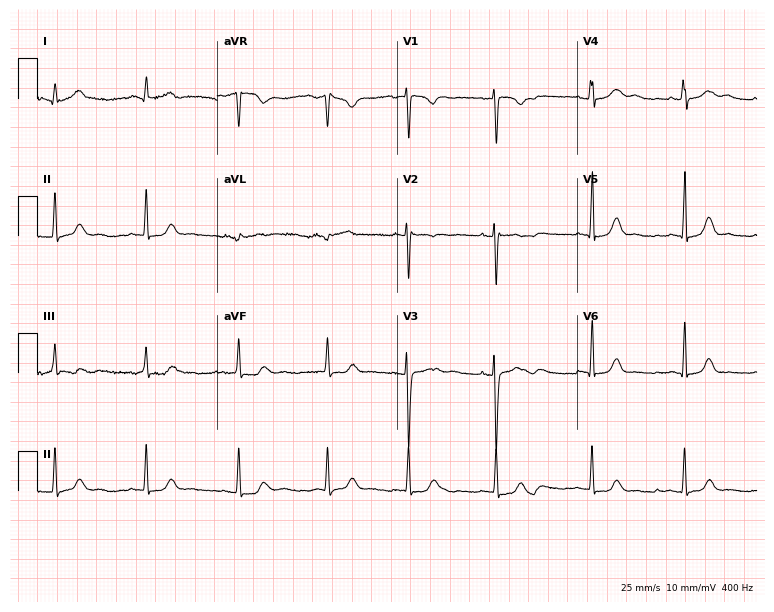
12-lead ECG from a male patient, 19 years old. No first-degree AV block, right bundle branch block, left bundle branch block, sinus bradycardia, atrial fibrillation or sinus tachycardia recorded for this tracing.